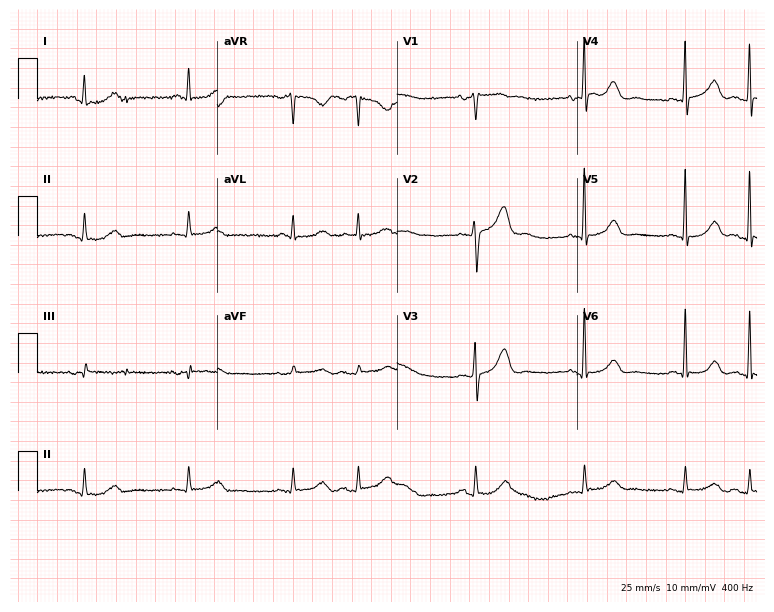
Electrocardiogram, a 74-year-old male patient. Of the six screened findings (first-degree AV block, right bundle branch block, left bundle branch block, sinus bradycardia, atrial fibrillation, sinus tachycardia), none is recorded. Only these six findings were labelled.